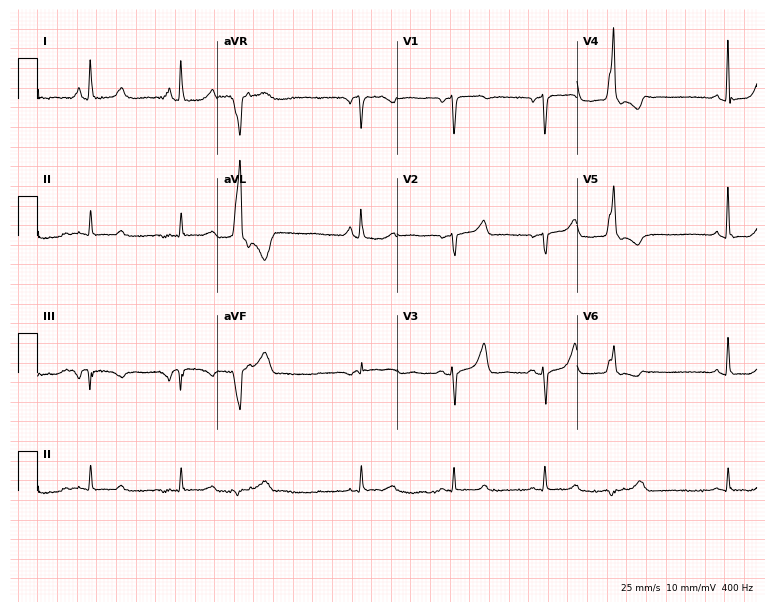
Resting 12-lead electrocardiogram (7.3-second recording at 400 Hz). Patient: a female, 80 years old. None of these six findings is recorded: first-degree AV block, right bundle branch block, left bundle branch block, sinus bradycardia, atrial fibrillation, sinus tachycardia. Only these six findings were labelled.